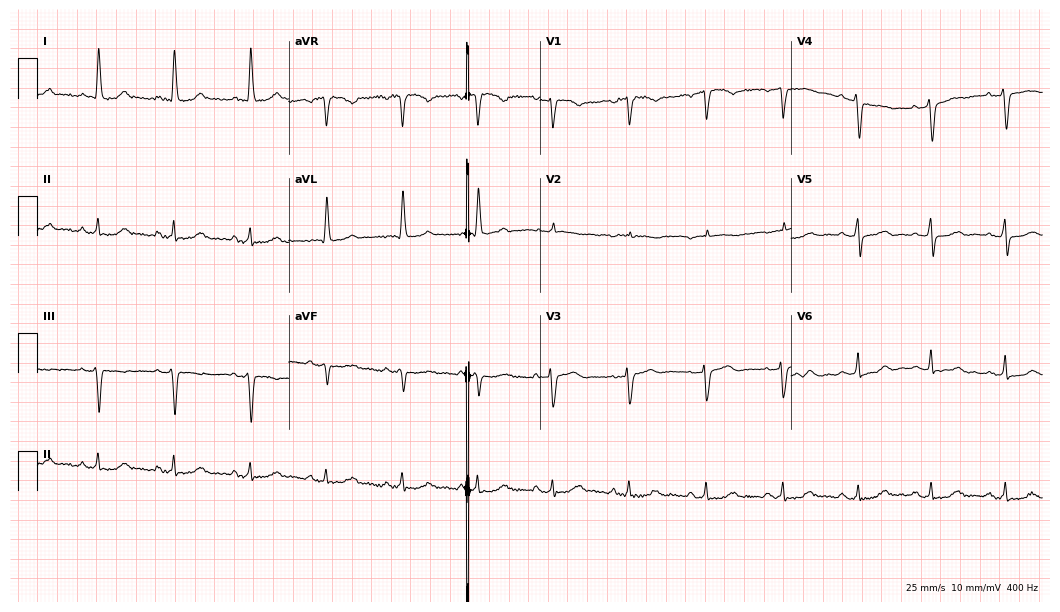
Electrocardiogram (10.2-second recording at 400 Hz), a woman, 67 years old. Of the six screened findings (first-degree AV block, right bundle branch block, left bundle branch block, sinus bradycardia, atrial fibrillation, sinus tachycardia), none is recorded.